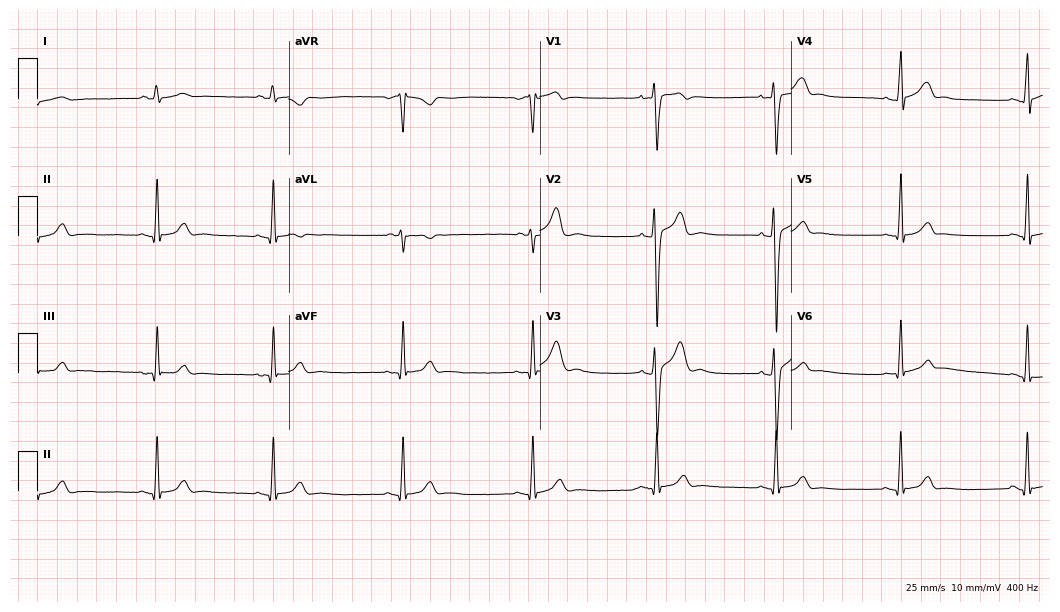
Electrocardiogram, a man, 23 years old. Interpretation includes sinus bradycardia (a sinus rate of 50 beats per minute or less).